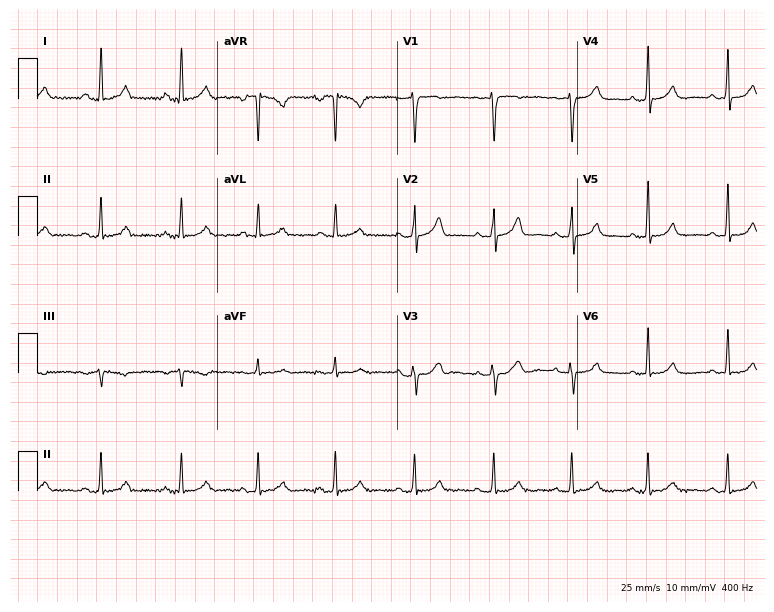
12-lead ECG from a female, 42 years old (7.3-second recording at 400 Hz). No first-degree AV block, right bundle branch block, left bundle branch block, sinus bradycardia, atrial fibrillation or sinus tachycardia recorded for this tracing. Findings outside these six are not listed.